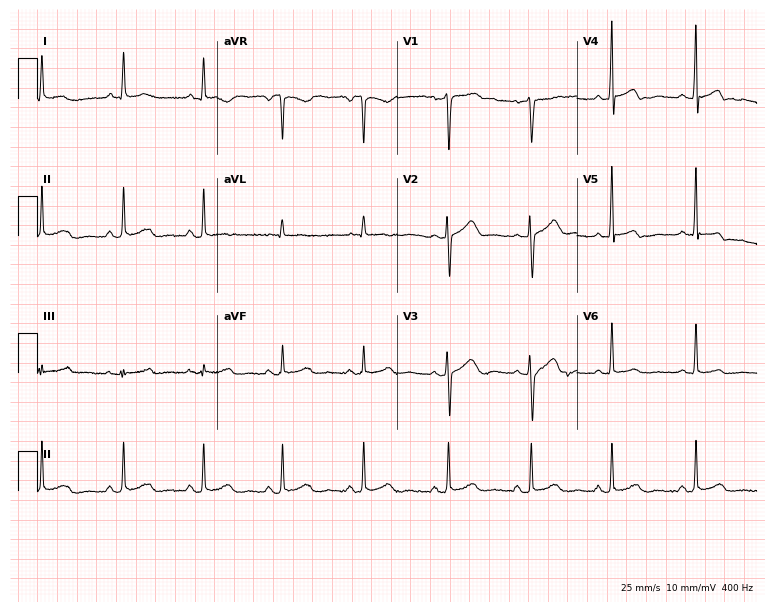
ECG (7.3-second recording at 400 Hz) — a 46-year-old female. Screened for six findings — first-degree AV block, right bundle branch block (RBBB), left bundle branch block (LBBB), sinus bradycardia, atrial fibrillation (AF), sinus tachycardia — none is recorded. Other findings, if any, are not listed.